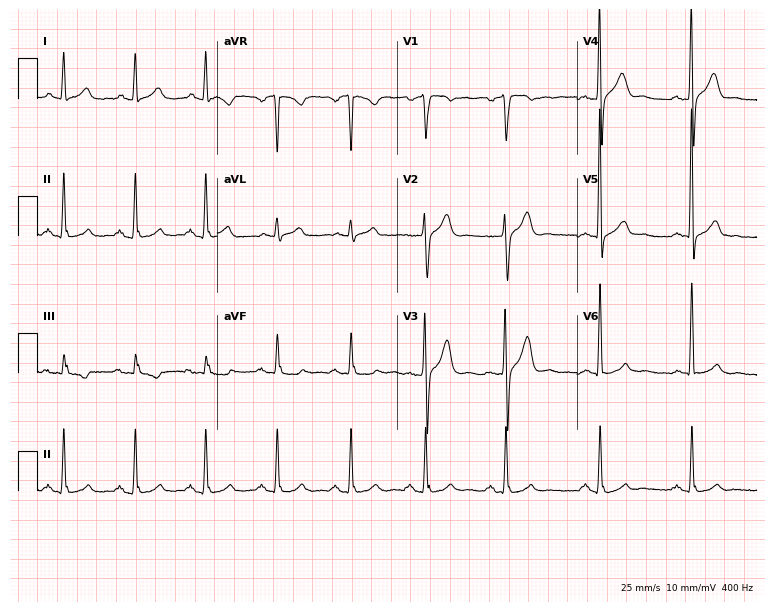
Electrocardiogram, a male patient, 45 years old. Of the six screened findings (first-degree AV block, right bundle branch block (RBBB), left bundle branch block (LBBB), sinus bradycardia, atrial fibrillation (AF), sinus tachycardia), none is recorded.